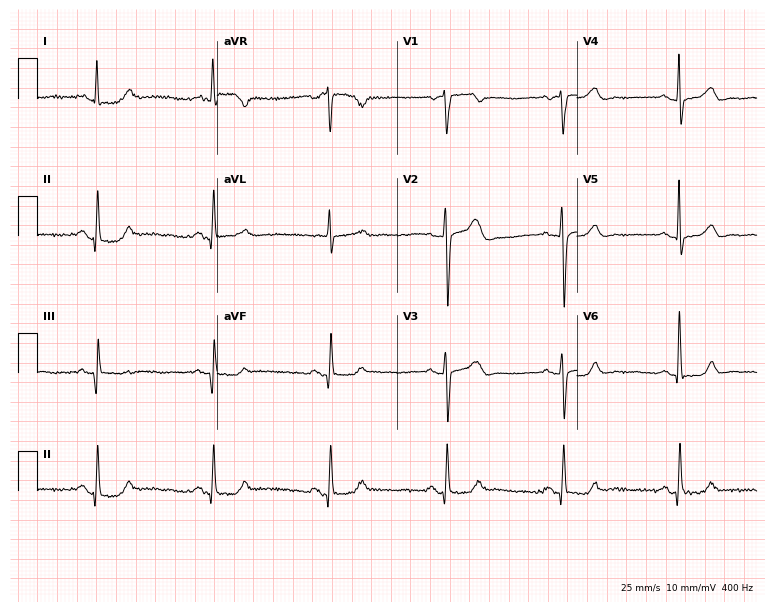
ECG — a 78-year-old male patient. Screened for six findings — first-degree AV block, right bundle branch block, left bundle branch block, sinus bradycardia, atrial fibrillation, sinus tachycardia — none is recorded.